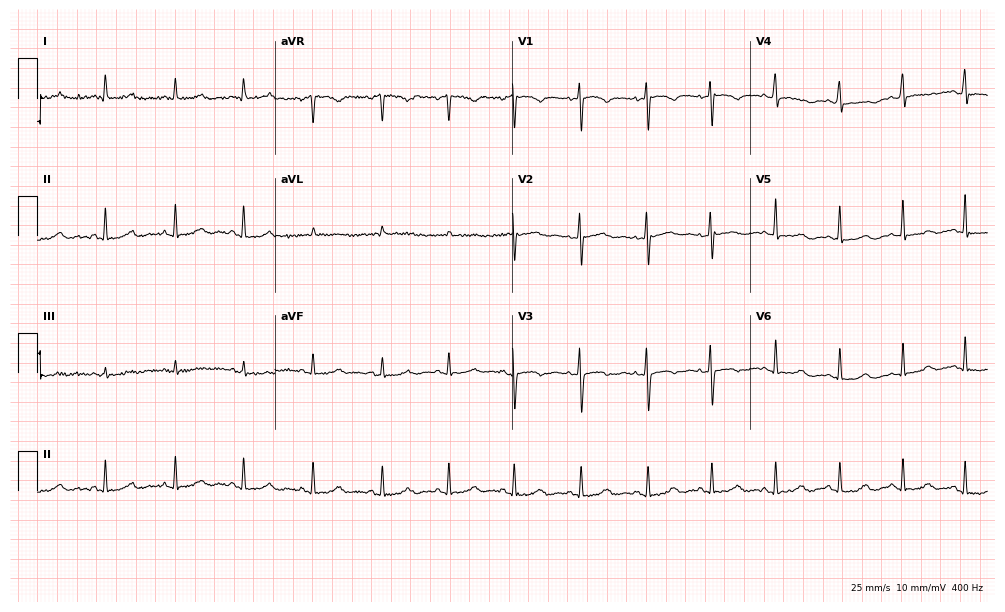
12-lead ECG from a female, 44 years old (9.7-second recording at 400 Hz). No first-degree AV block, right bundle branch block, left bundle branch block, sinus bradycardia, atrial fibrillation or sinus tachycardia recorded for this tracing. Only these six findings were labelled.